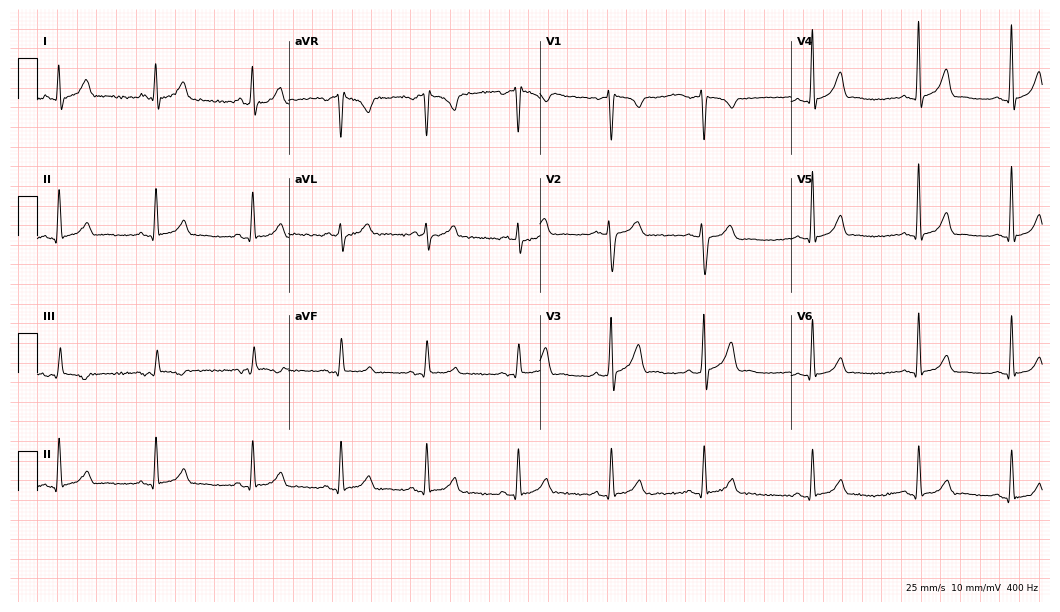
12-lead ECG from a 50-year-old male (10.2-second recording at 400 Hz). Recorded interpretation: within normal limits.